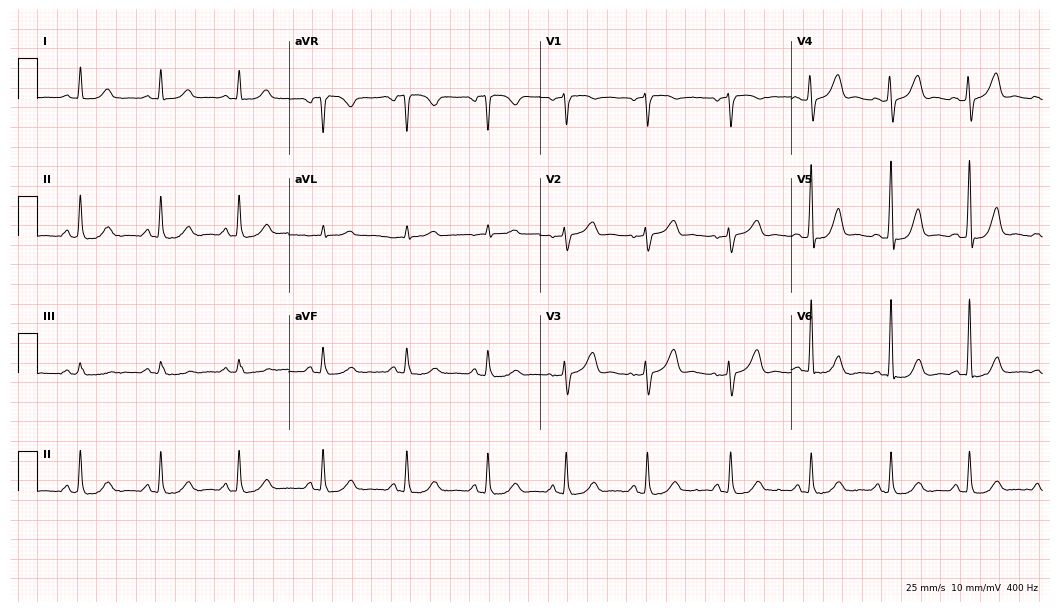
12-lead ECG (10.2-second recording at 400 Hz) from a 58-year-old woman. Screened for six findings — first-degree AV block, right bundle branch block, left bundle branch block, sinus bradycardia, atrial fibrillation, sinus tachycardia — none is recorded.